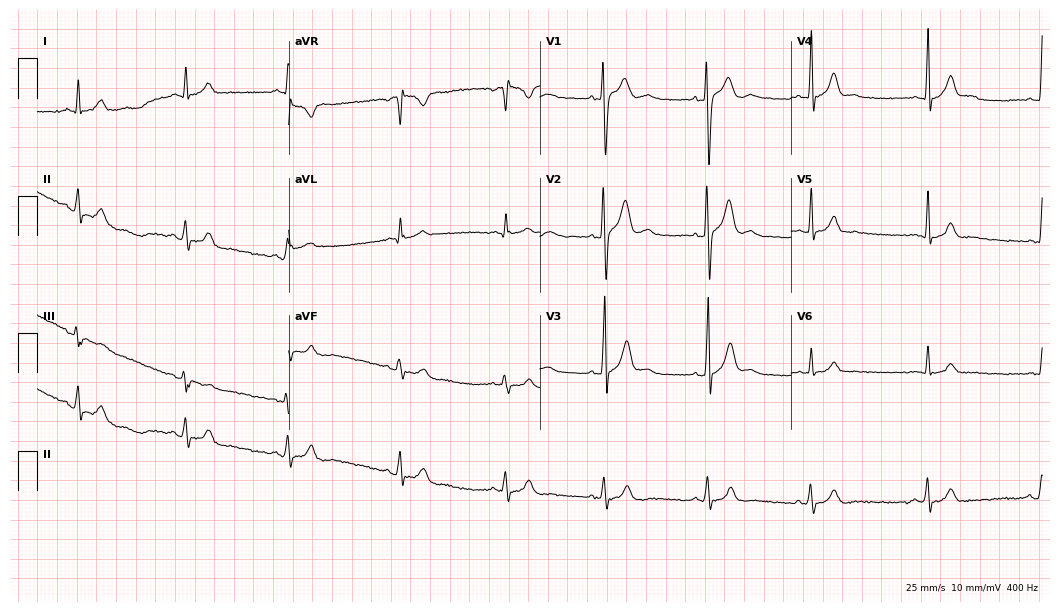
ECG — an 18-year-old male patient. Labelled as a normal ECG.